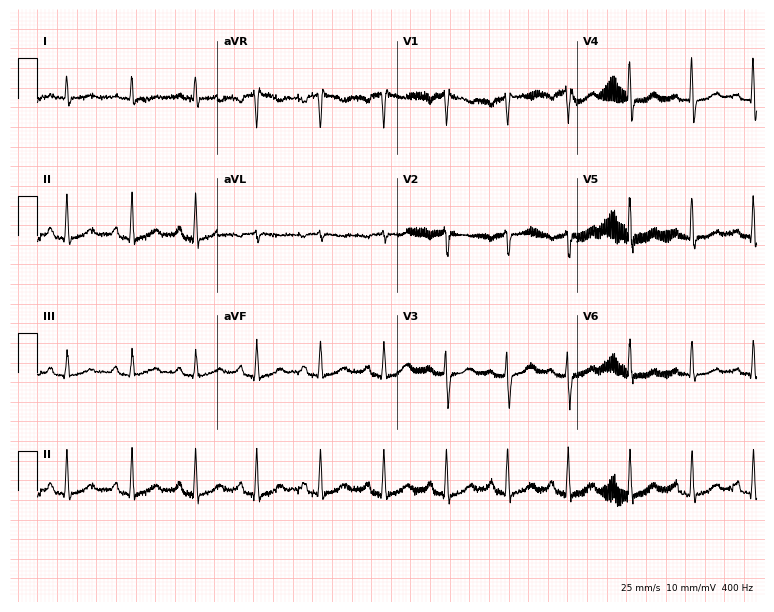
Electrocardiogram (7.3-second recording at 400 Hz), a female patient, 54 years old. Of the six screened findings (first-degree AV block, right bundle branch block, left bundle branch block, sinus bradycardia, atrial fibrillation, sinus tachycardia), none is recorded. Only these six findings were labelled.